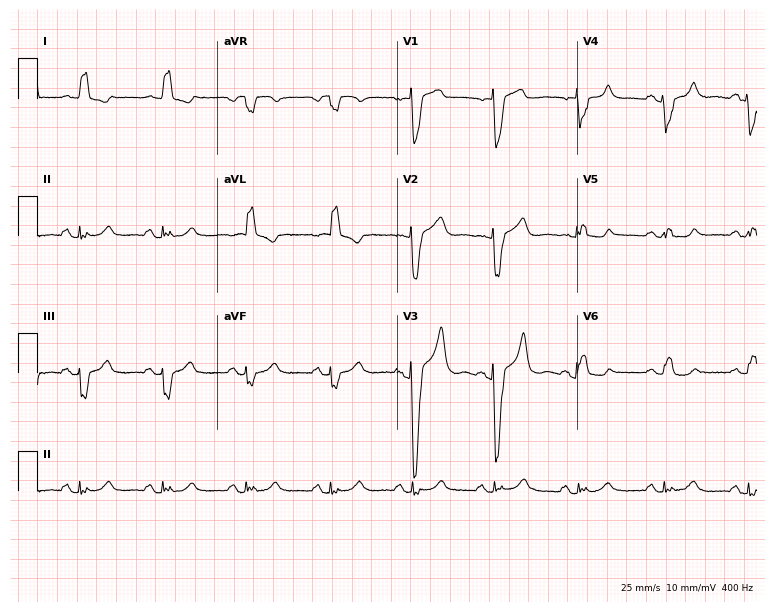
ECG (7.3-second recording at 400 Hz) — a 67-year-old man. Findings include left bundle branch block (LBBB).